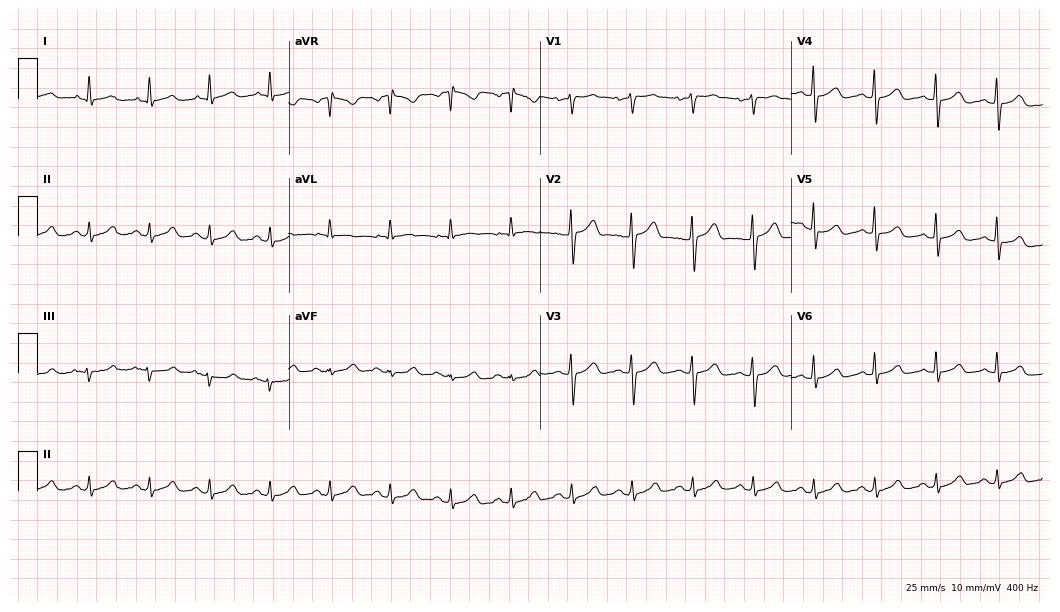
12-lead ECG from a 67-year-old male patient. Recorded interpretation: within normal limits.